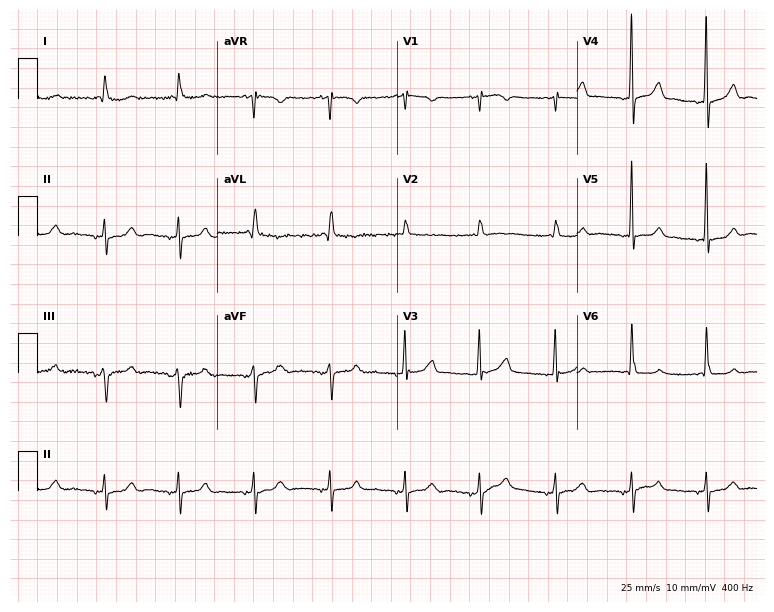
12-lead ECG from a man, 79 years old. No first-degree AV block, right bundle branch block, left bundle branch block, sinus bradycardia, atrial fibrillation or sinus tachycardia recorded for this tracing. Only these six findings were labelled.